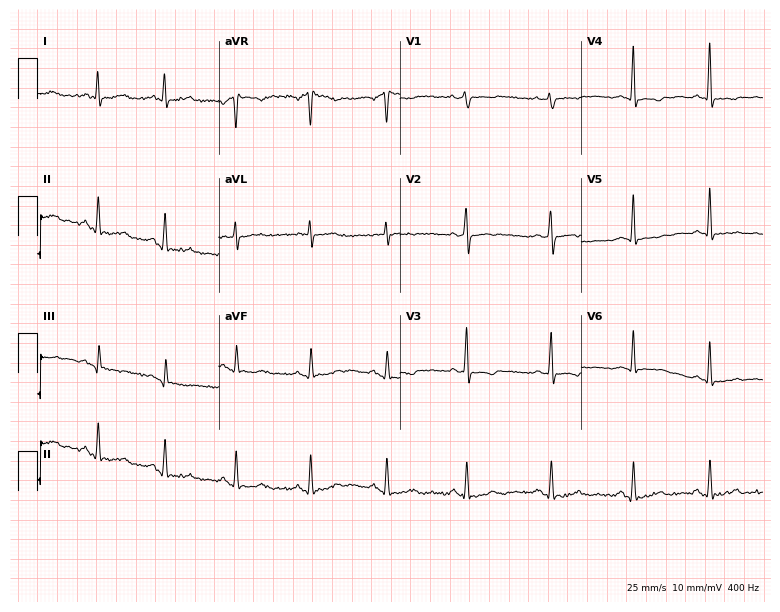
Electrocardiogram (7.4-second recording at 400 Hz), a woman, 44 years old. Of the six screened findings (first-degree AV block, right bundle branch block, left bundle branch block, sinus bradycardia, atrial fibrillation, sinus tachycardia), none is recorded.